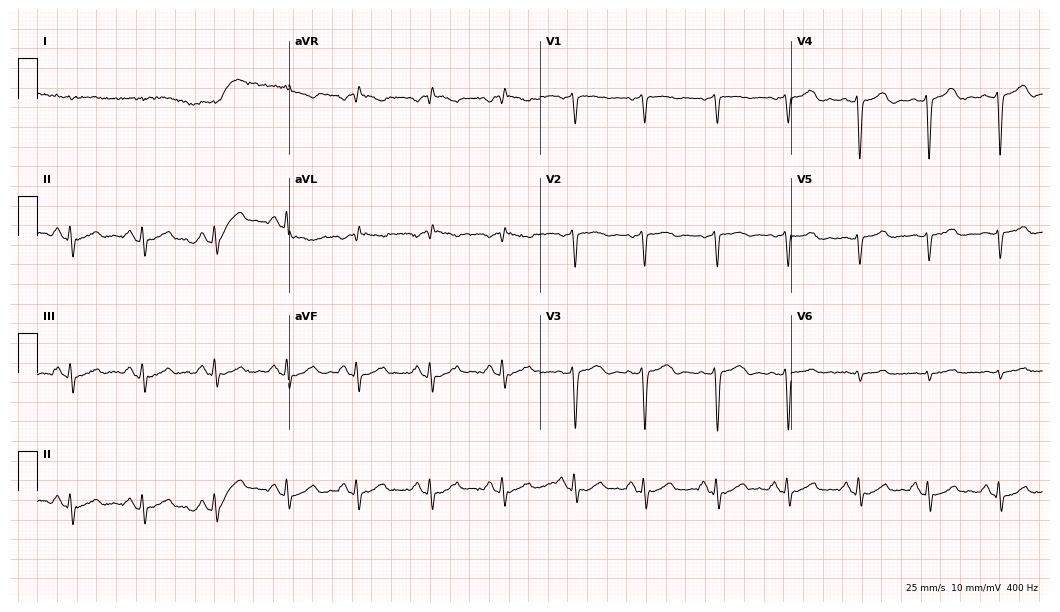
Resting 12-lead electrocardiogram (10.2-second recording at 400 Hz). Patient: a 58-year-old male. None of these six findings is recorded: first-degree AV block, right bundle branch block (RBBB), left bundle branch block (LBBB), sinus bradycardia, atrial fibrillation (AF), sinus tachycardia. Only these six findings were labelled.